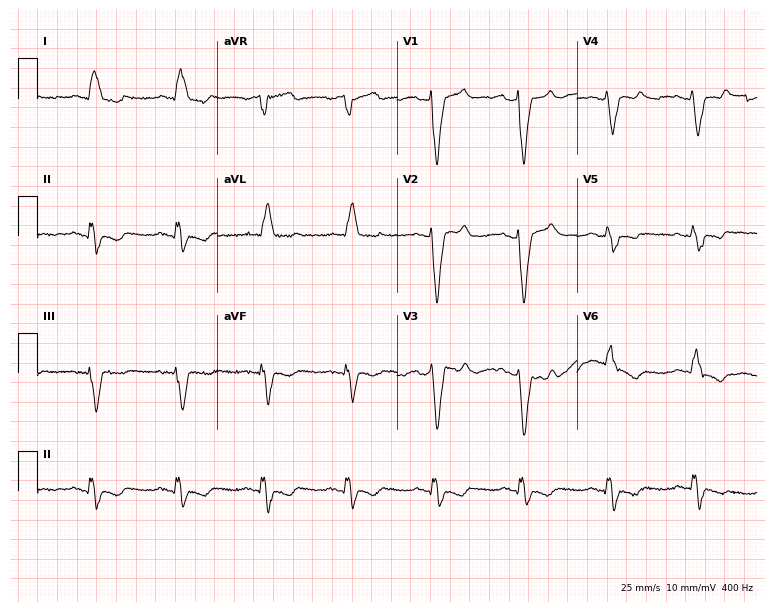
Resting 12-lead electrocardiogram. Patient: a 73-year-old female. None of these six findings is recorded: first-degree AV block, right bundle branch block, left bundle branch block, sinus bradycardia, atrial fibrillation, sinus tachycardia. Only these six findings were labelled.